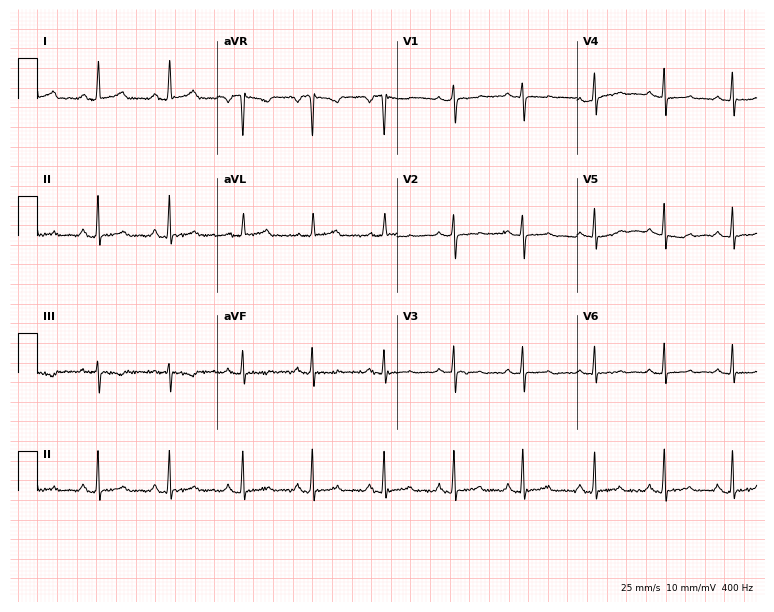
12-lead ECG from a 35-year-old female patient (7.3-second recording at 400 Hz). No first-degree AV block, right bundle branch block, left bundle branch block, sinus bradycardia, atrial fibrillation or sinus tachycardia recorded for this tracing.